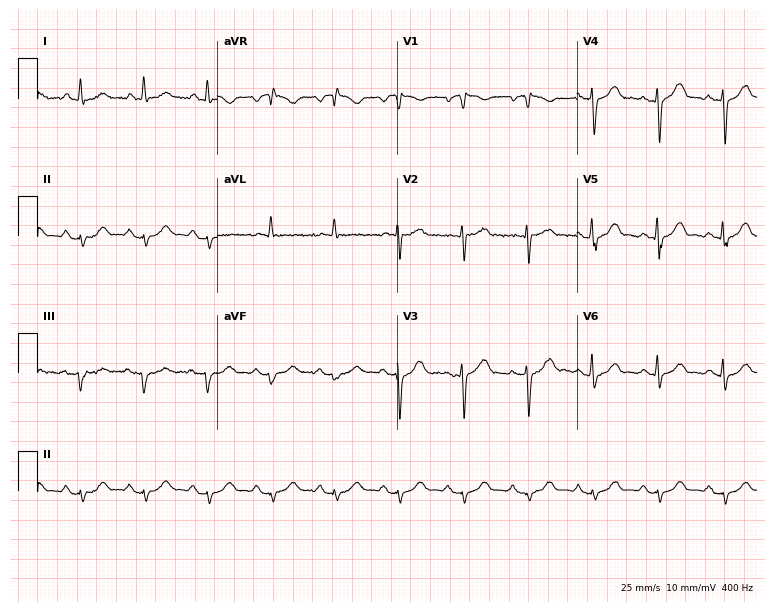
Resting 12-lead electrocardiogram. Patient: an 84-year-old man. None of these six findings is recorded: first-degree AV block, right bundle branch block, left bundle branch block, sinus bradycardia, atrial fibrillation, sinus tachycardia.